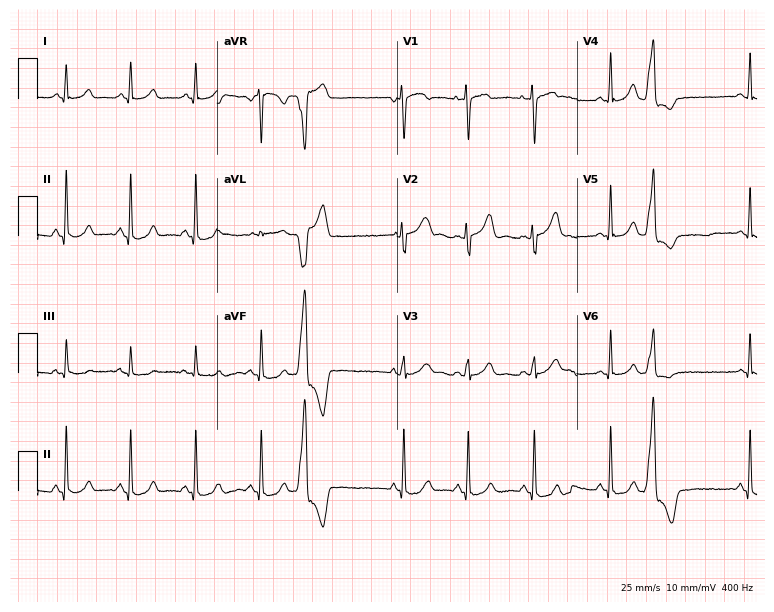
Standard 12-lead ECG recorded from a female, 19 years old (7.3-second recording at 400 Hz). Read as a normal ECG.